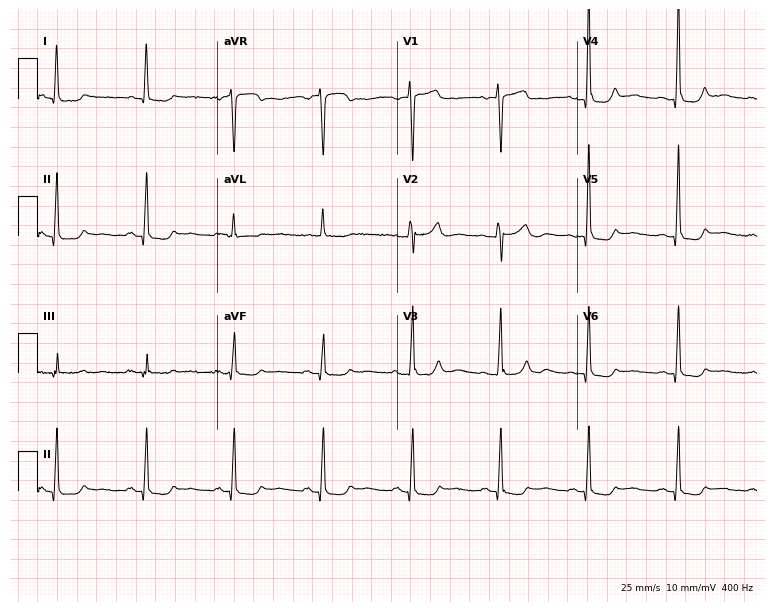
Electrocardiogram (7.3-second recording at 400 Hz), an 82-year-old female. Of the six screened findings (first-degree AV block, right bundle branch block, left bundle branch block, sinus bradycardia, atrial fibrillation, sinus tachycardia), none is recorded. Other findings, if any, are not listed.